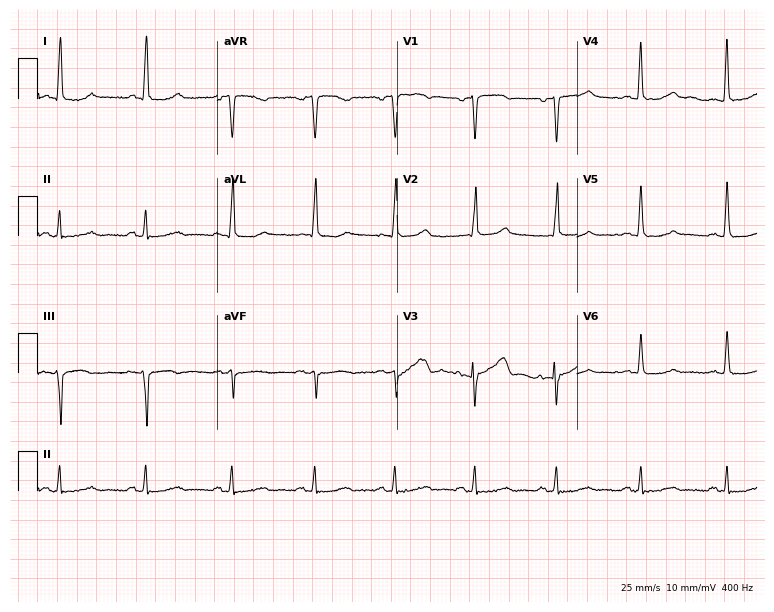
Standard 12-lead ECG recorded from a woman, 78 years old (7.3-second recording at 400 Hz). None of these six findings is recorded: first-degree AV block, right bundle branch block (RBBB), left bundle branch block (LBBB), sinus bradycardia, atrial fibrillation (AF), sinus tachycardia.